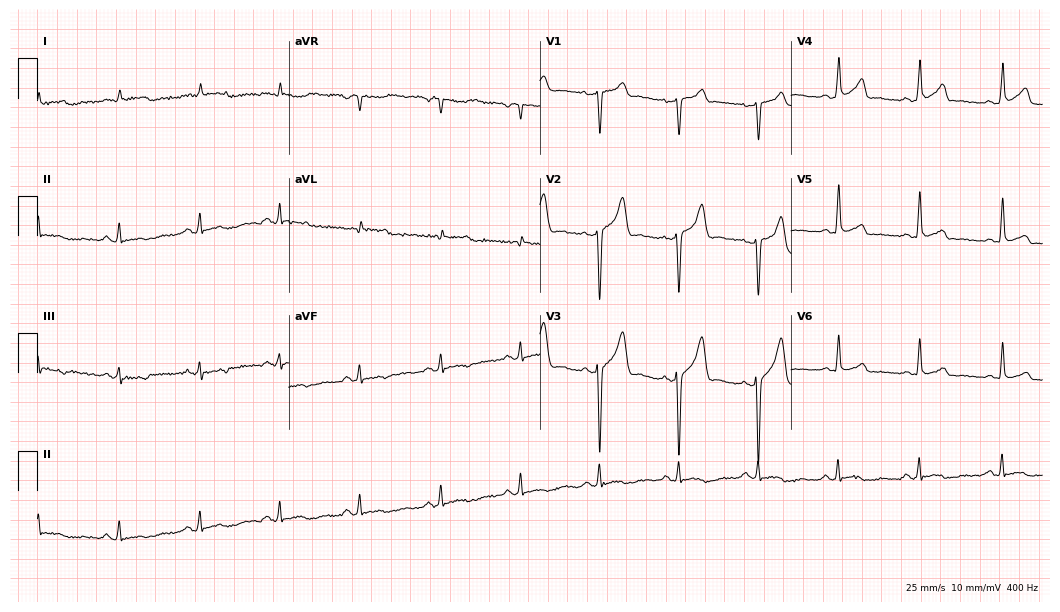
12-lead ECG from a male patient, 38 years old (10.2-second recording at 400 Hz). No first-degree AV block, right bundle branch block, left bundle branch block, sinus bradycardia, atrial fibrillation or sinus tachycardia recorded for this tracing. Other findings, if any, are not listed.